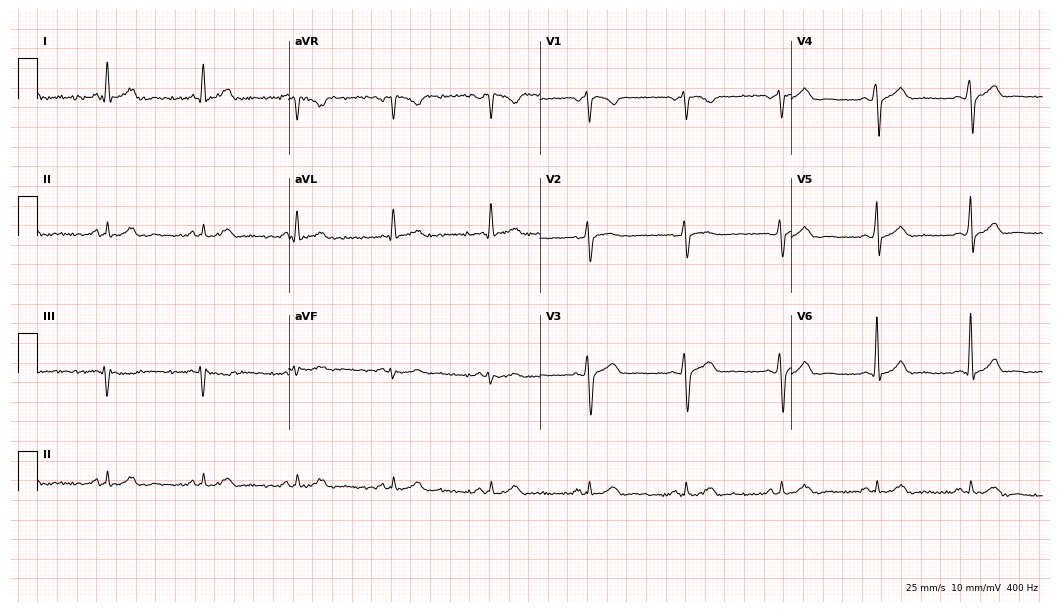
ECG (10.2-second recording at 400 Hz) — a 46-year-old male. Labelled as a normal ECG.